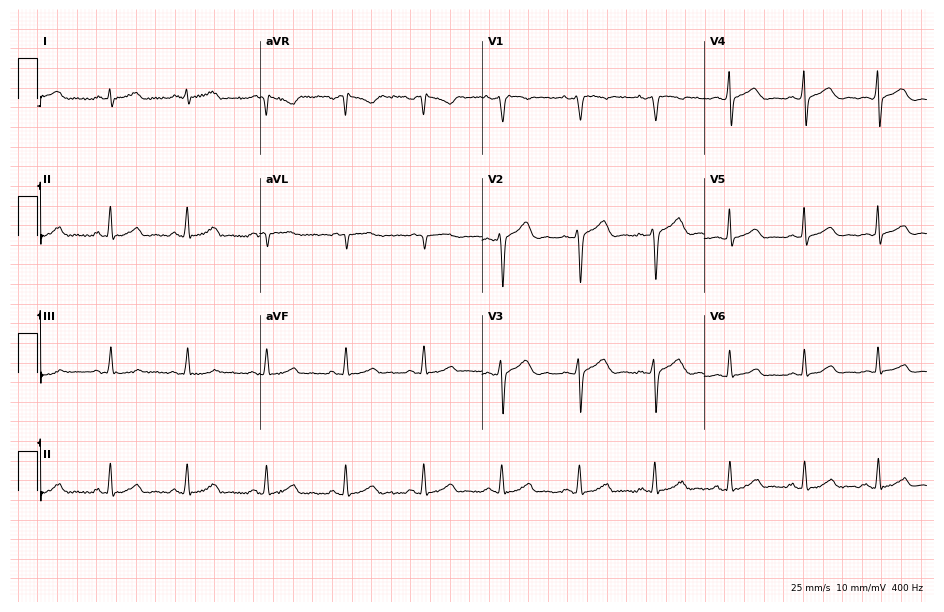
Electrocardiogram (9.1-second recording at 400 Hz), a female patient, 50 years old. Overall reading on record: normal ECG.